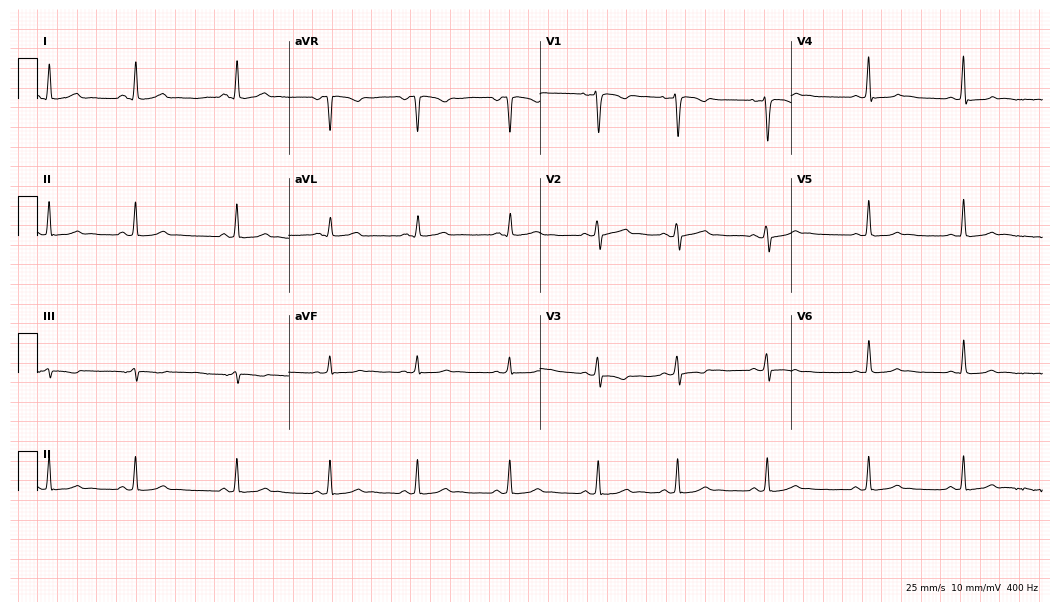
12-lead ECG from a 25-year-old female. No first-degree AV block, right bundle branch block, left bundle branch block, sinus bradycardia, atrial fibrillation or sinus tachycardia recorded for this tracing. Findings outside these six are not listed.